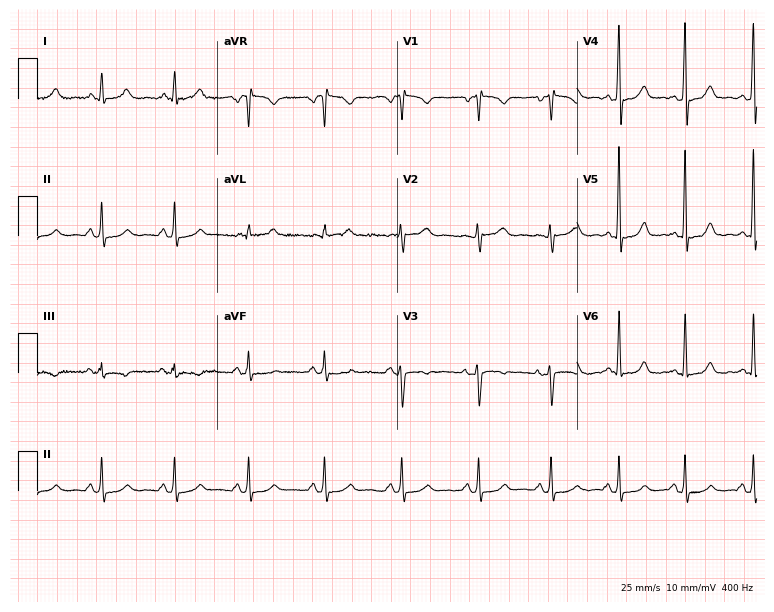
12-lead ECG from a female patient, 26 years old. No first-degree AV block, right bundle branch block, left bundle branch block, sinus bradycardia, atrial fibrillation or sinus tachycardia recorded for this tracing.